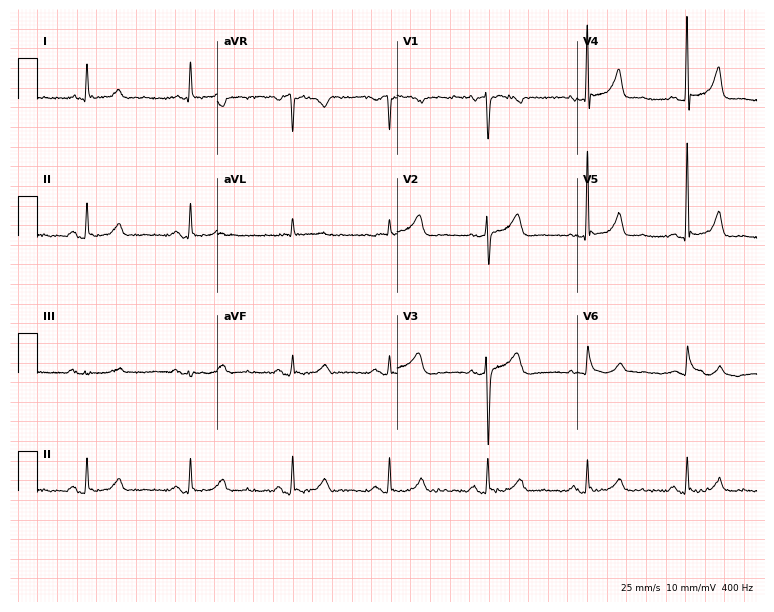
12-lead ECG from a 47-year-old female patient. No first-degree AV block, right bundle branch block, left bundle branch block, sinus bradycardia, atrial fibrillation or sinus tachycardia recorded for this tracing. Other findings, if any, are not listed.